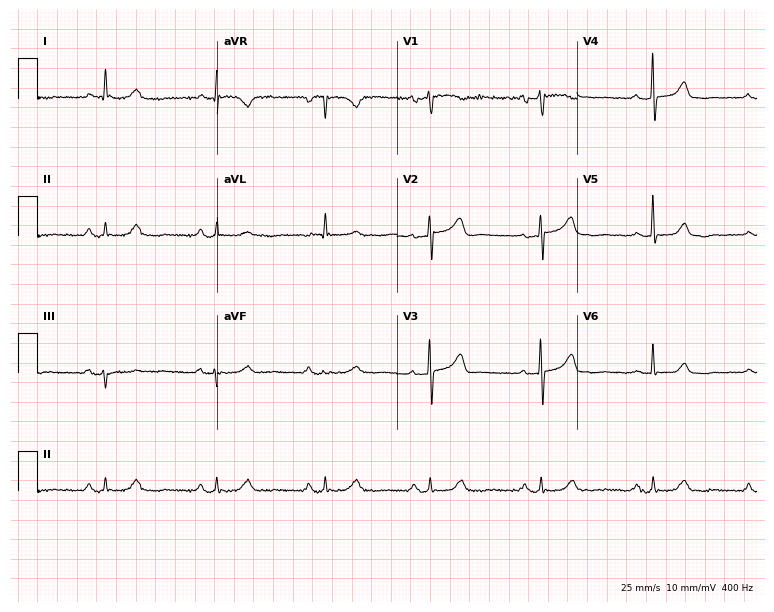
Standard 12-lead ECG recorded from a 78-year-old female patient (7.3-second recording at 400 Hz). None of these six findings is recorded: first-degree AV block, right bundle branch block (RBBB), left bundle branch block (LBBB), sinus bradycardia, atrial fibrillation (AF), sinus tachycardia. Findings outside these six are not listed.